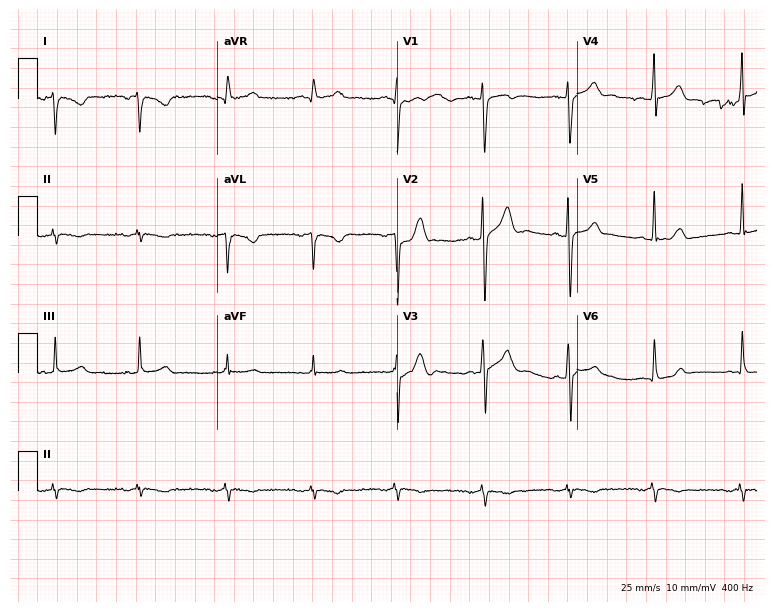
ECG (7.3-second recording at 400 Hz) — a 23-year-old male patient. Screened for six findings — first-degree AV block, right bundle branch block, left bundle branch block, sinus bradycardia, atrial fibrillation, sinus tachycardia — none is recorded. Findings outside these six are not listed.